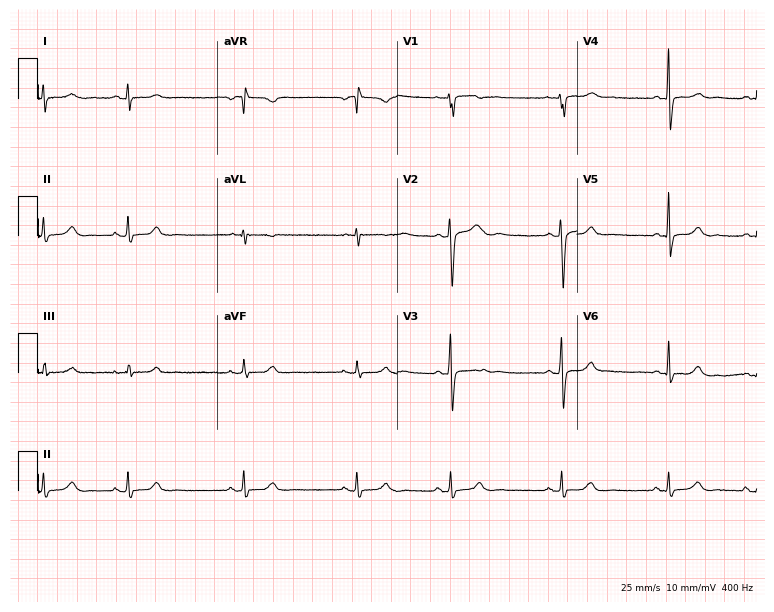
ECG — a female, 19 years old. Screened for six findings — first-degree AV block, right bundle branch block, left bundle branch block, sinus bradycardia, atrial fibrillation, sinus tachycardia — none is recorded.